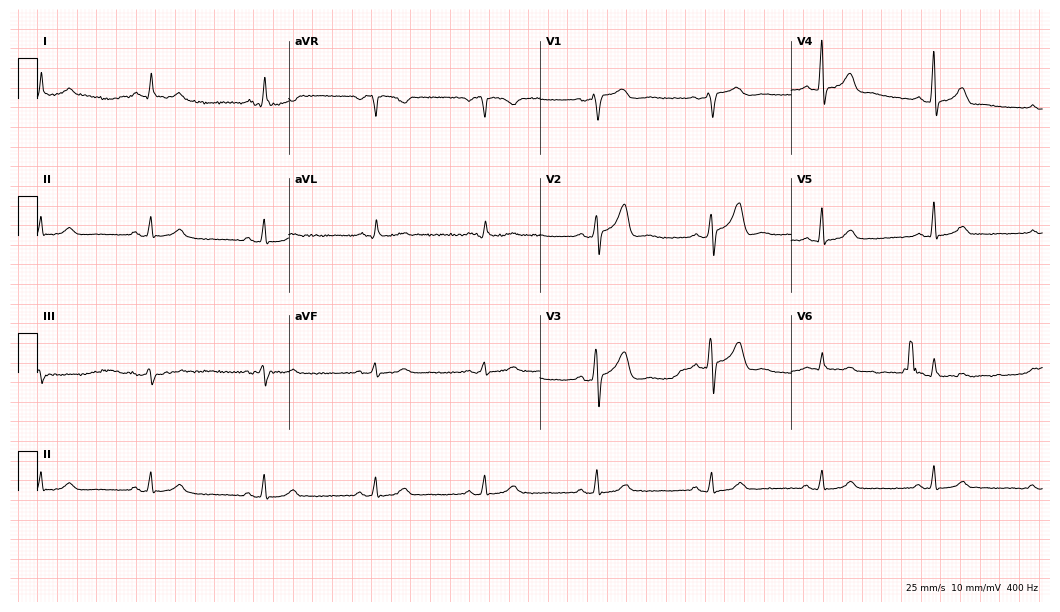
12-lead ECG from a 53-year-old man. No first-degree AV block, right bundle branch block (RBBB), left bundle branch block (LBBB), sinus bradycardia, atrial fibrillation (AF) or sinus tachycardia recorded for this tracing.